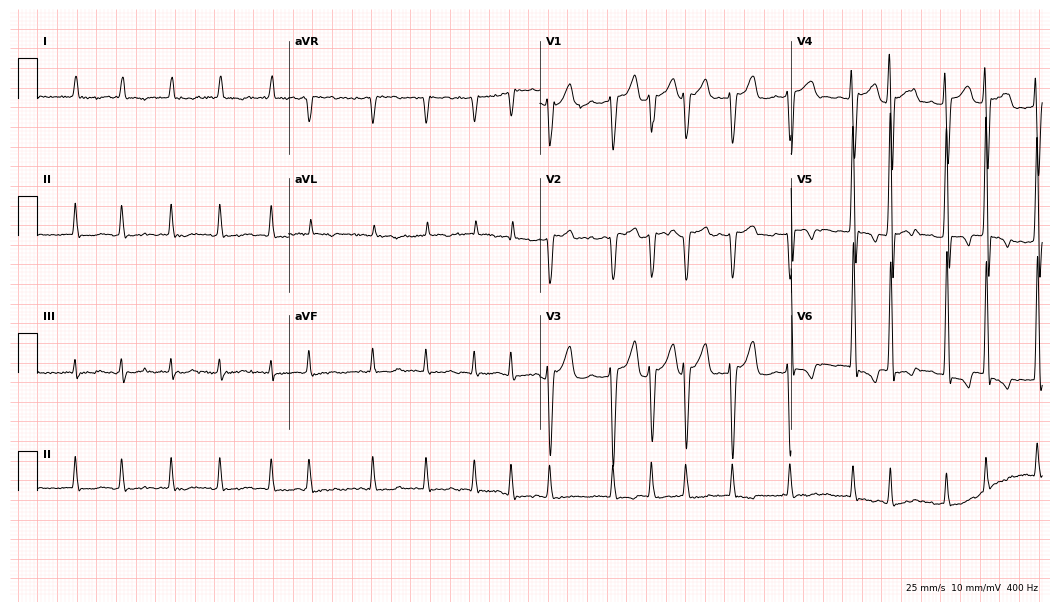
12-lead ECG (10.2-second recording at 400 Hz) from an 82-year-old male patient. Findings include atrial fibrillation.